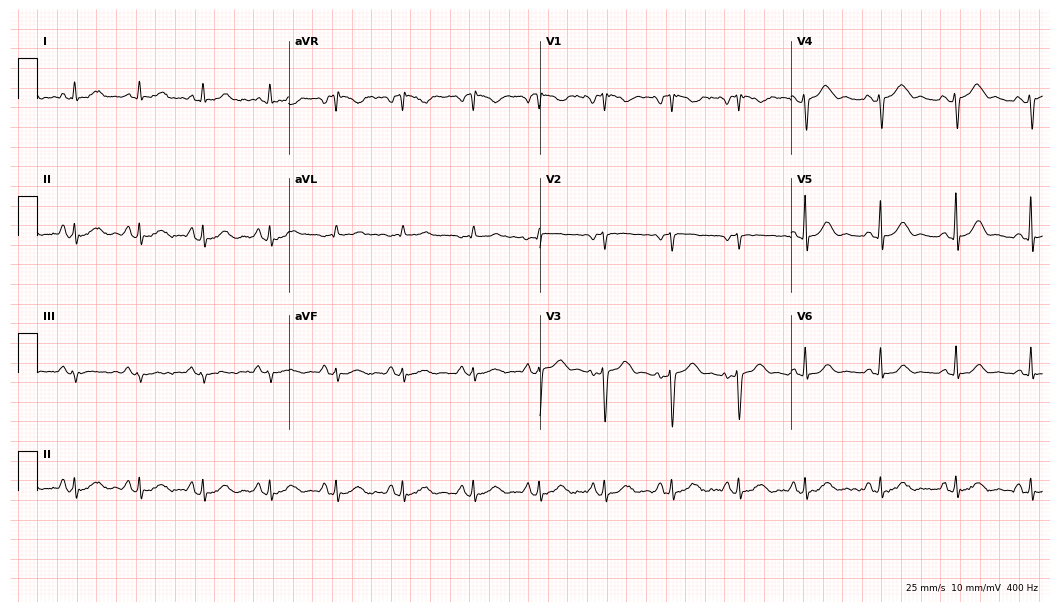
12-lead ECG from a female, 27 years old (10.2-second recording at 400 Hz). No first-degree AV block, right bundle branch block (RBBB), left bundle branch block (LBBB), sinus bradycardia, atrial fibrillation (AF) or sinus tachycardia recorded for this tracing. Only these six findings were labelled.